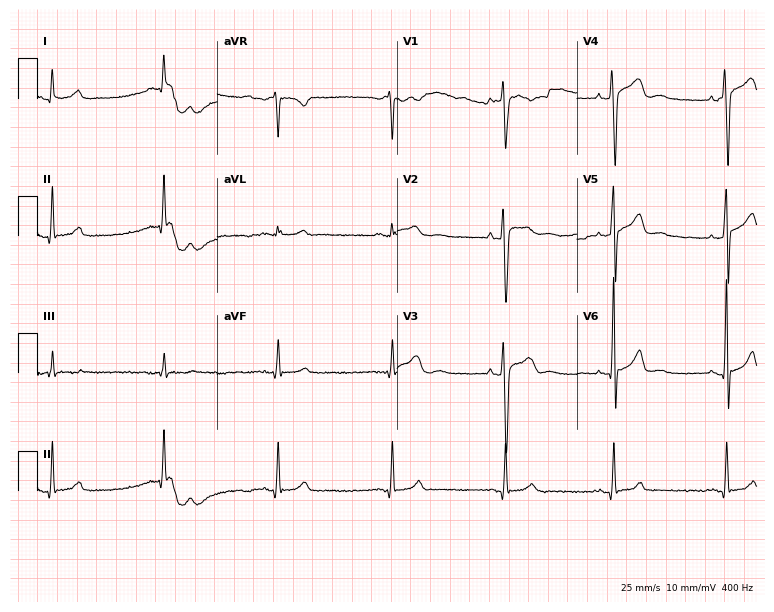
Resting 12-lead electrocardiogram (7.3-second recording at 400 Hz). Patient: a male, 32 years old. Read as a normal ECG.